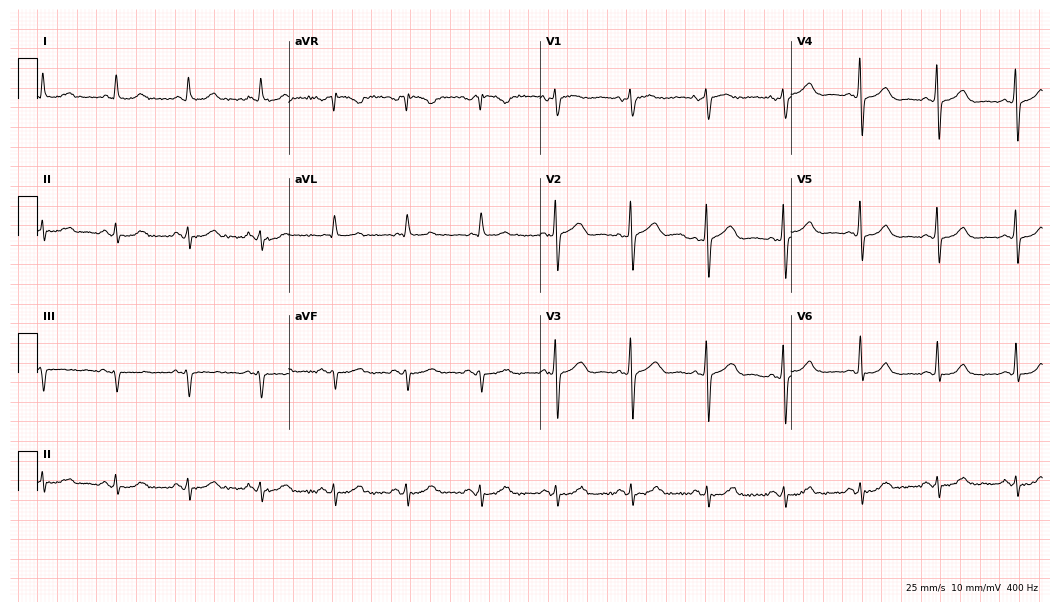
Resting 12-lead electrocardiogram (10.2-second recording at 400 Hz). Patient: a 70-year-old male. None of these six findings is recorded: first-degree AV block, right bundle branch block, left bundle branch block, sinus bradycardia, atrial fibrillation, sinus tachycardia. Only these six findings were labelled.